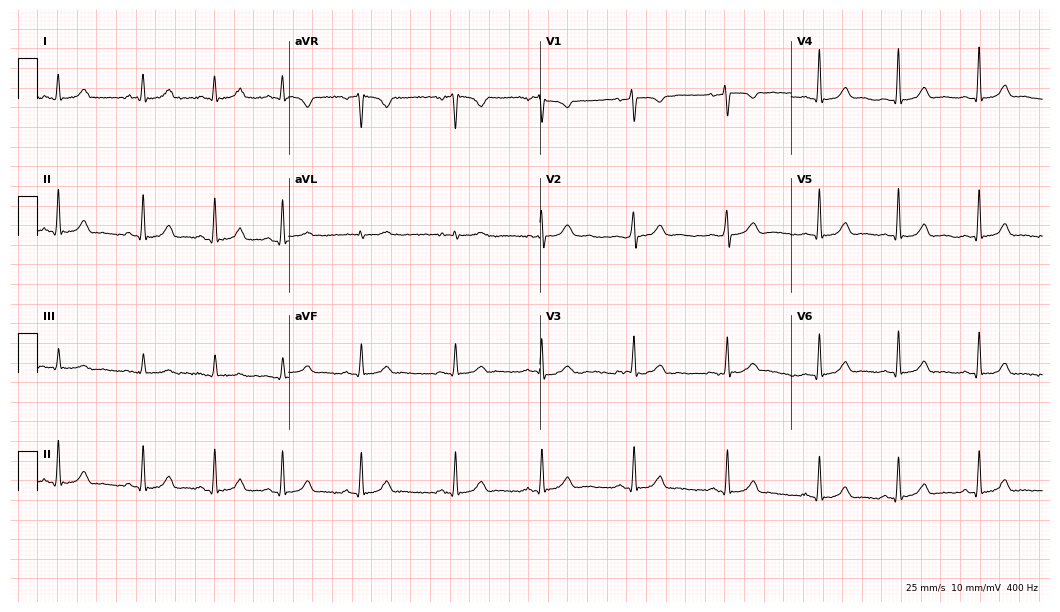
Resting 12-lead electrocardiogram (10.2-second recording at 400 Hz). Patient: a female, 34 years old. Read as a normal ECG.